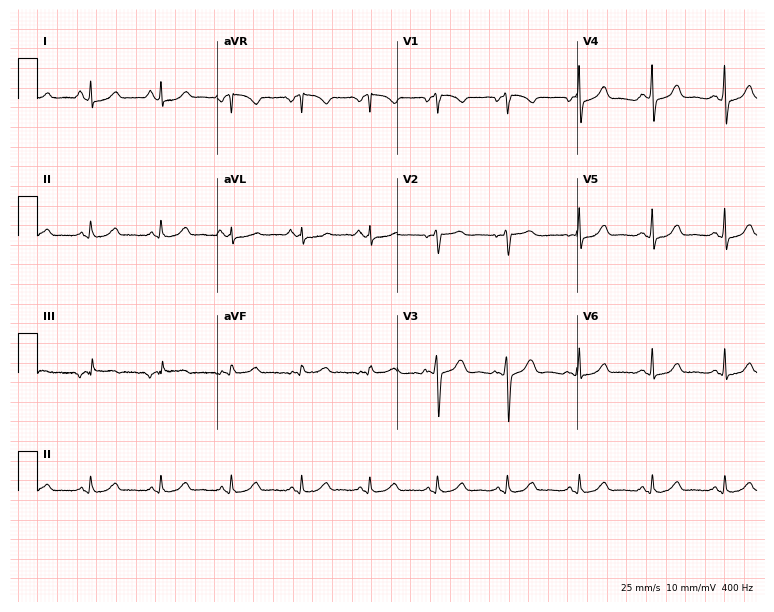
Resting 12-lead electrocardiogram (7.3-second recording at 400 Hz). Patient: a 52-year-old woman. Read as a normal ECG.